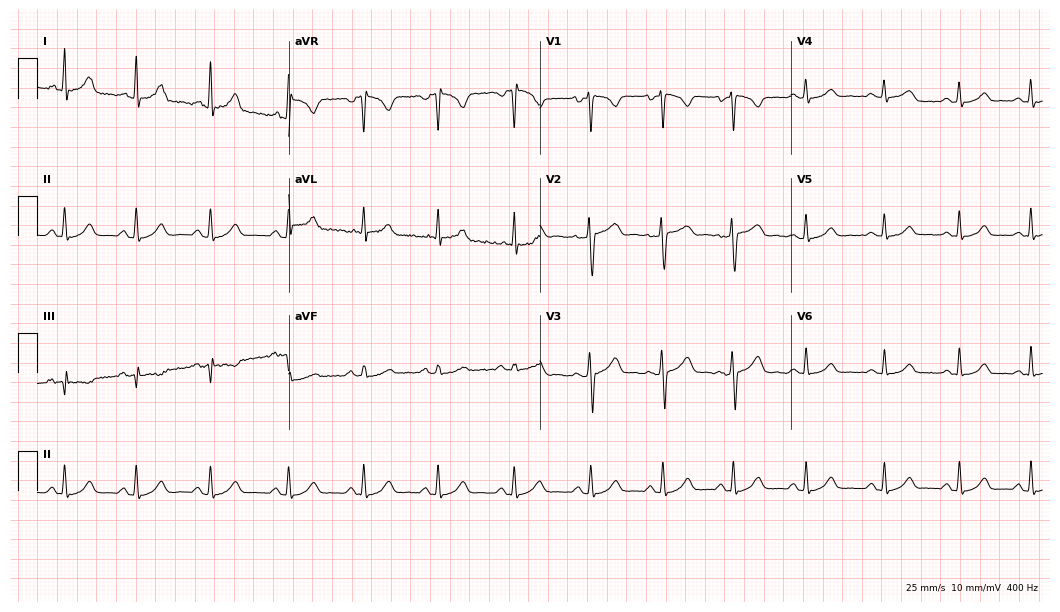
12-lead ECG (10.2-second recording at 400 Hz) from a 40-year-old female patient. Labelled as a normal ECG.